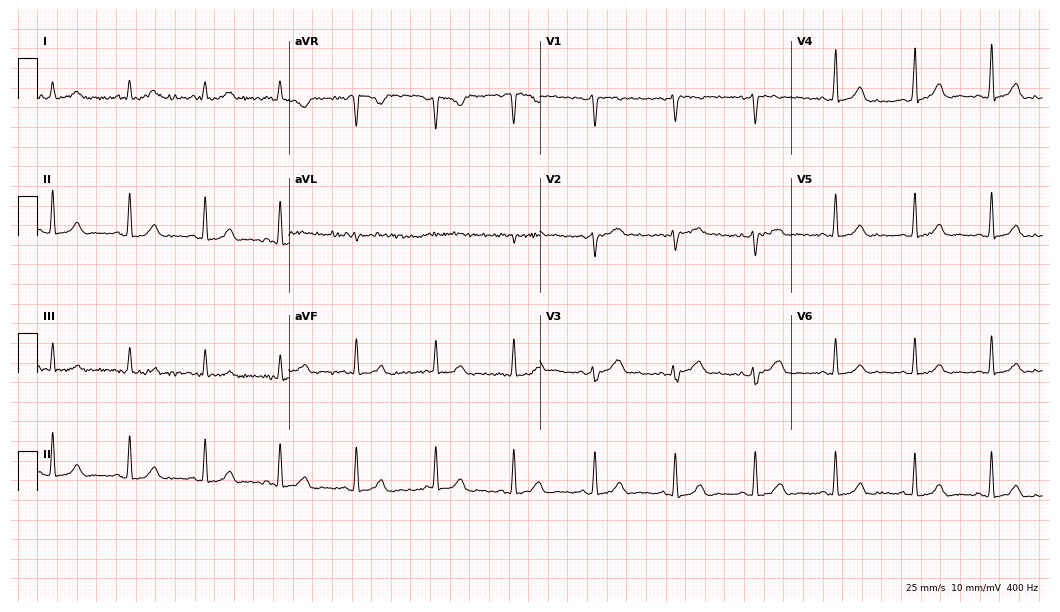
ECG — a female patient, 38 years old. Labelled as a normal ECG.